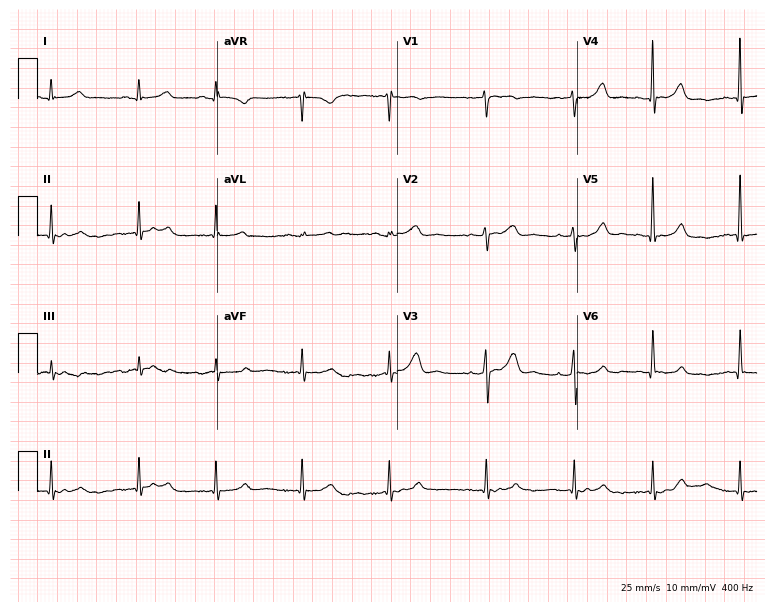
Electrocardiogram, a man, 58 years old. Of the six screened findings (first-degree AV block, right bundle branch block, left bundle branch block, sinus bradycardia, atrial fibrillation, sinus tachycardia), none is recorded. Other findings, if any, are not listed.